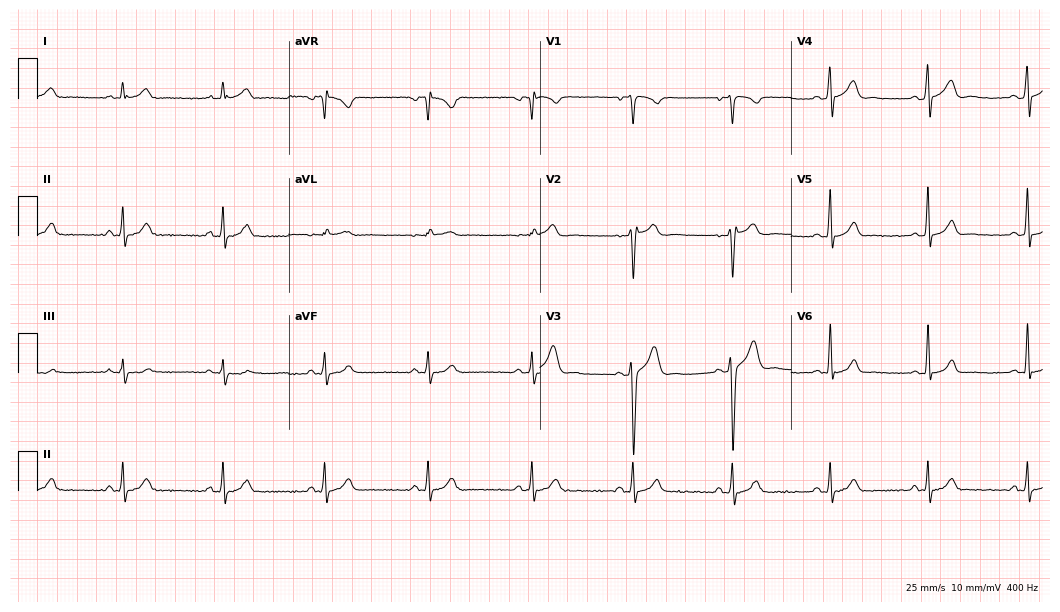
Standard 12-lead ECG recorded from a male patient, 25 years old. Read as a normal ECG.